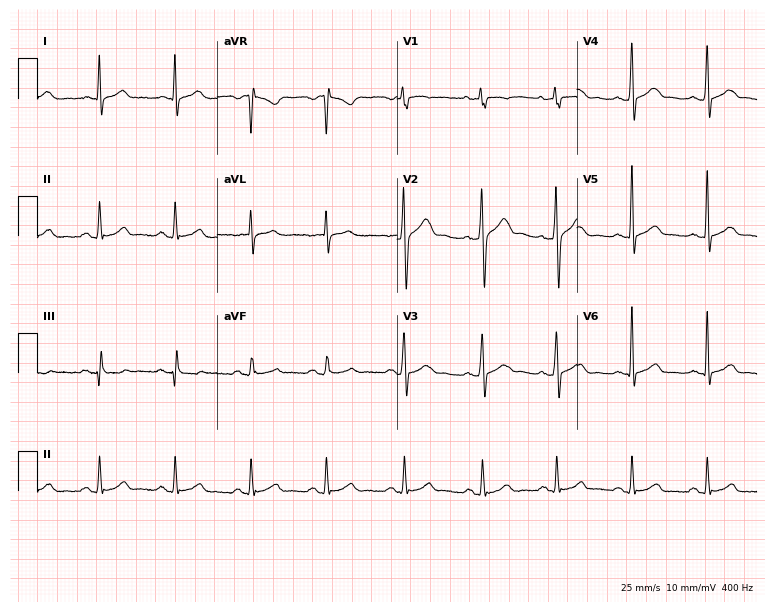
Standard 12-lead ECG recorded from a male patient, 35 years old (7.3-second recording at 400 Hz). Read as a normal ECG.